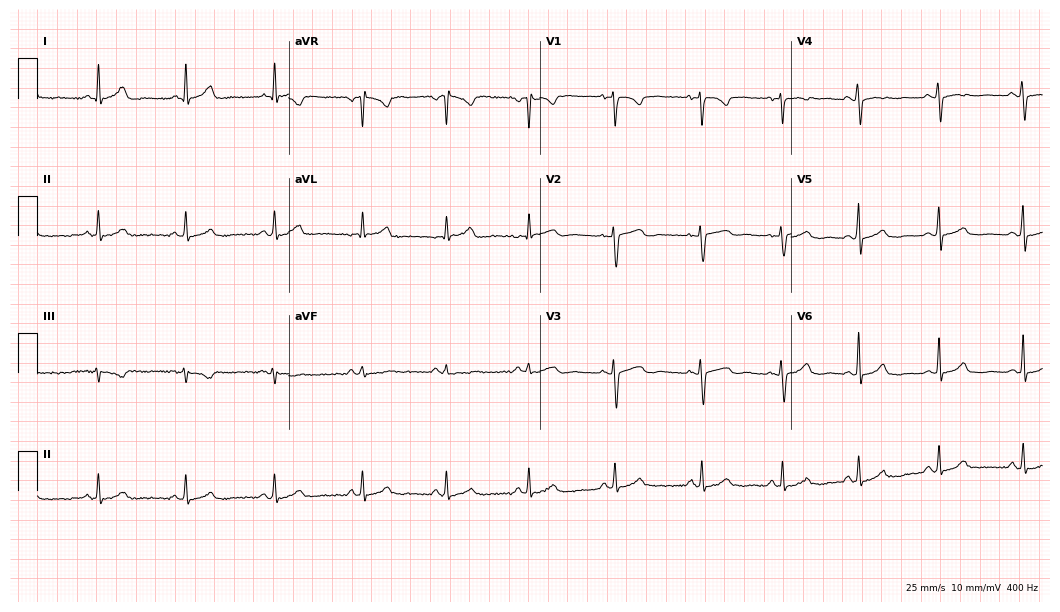
Electrocardiogram (10.2-second recording at 400 Hz), a female, 33 years old. Of the six screened findings (first-degree AV block, right bundle branch block, left bundle branch block, sinus bradycardia, atrial fibrillation, sinus tachycardia), none is recorded.